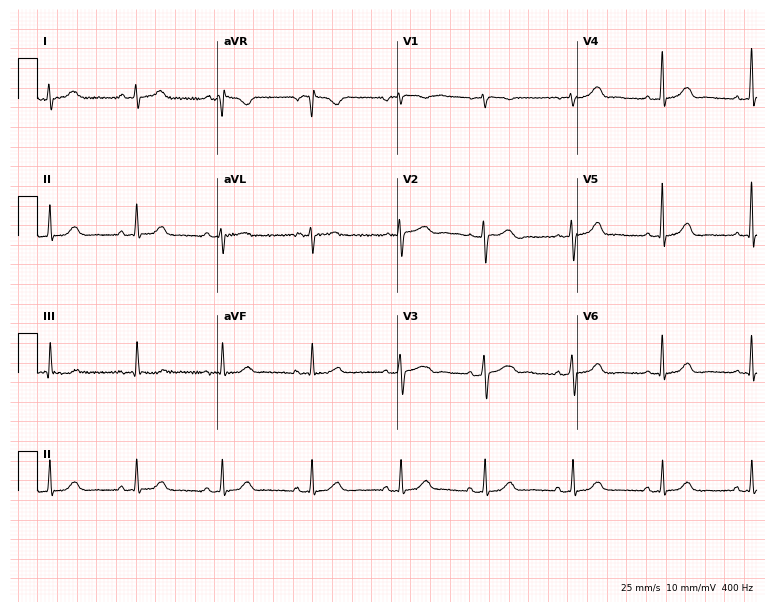
Electrocardiogram (7.3-second recording at 400 Hz), a woman, 35 years old. Of the six screened findings (first-degree AV block, right bundle branch block, left bundle branch block, sinus bradycardia, atrial fibrillation, sinus tachycardia), none is recorded.